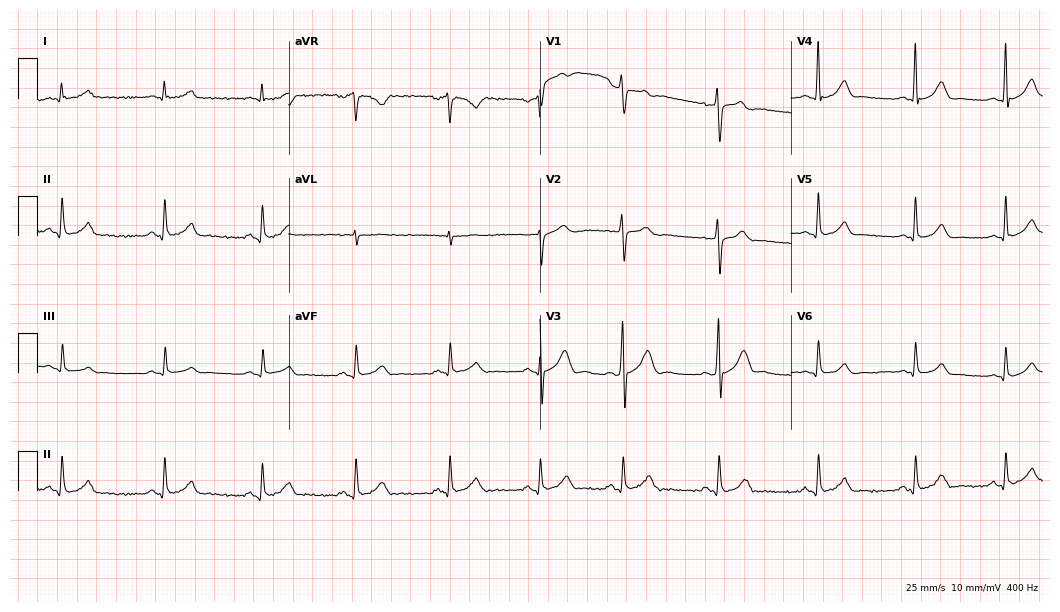
ECG (10.2-second recording at 400 Hz) — a male patient, 24 years old. Labelled as a normal ECG.